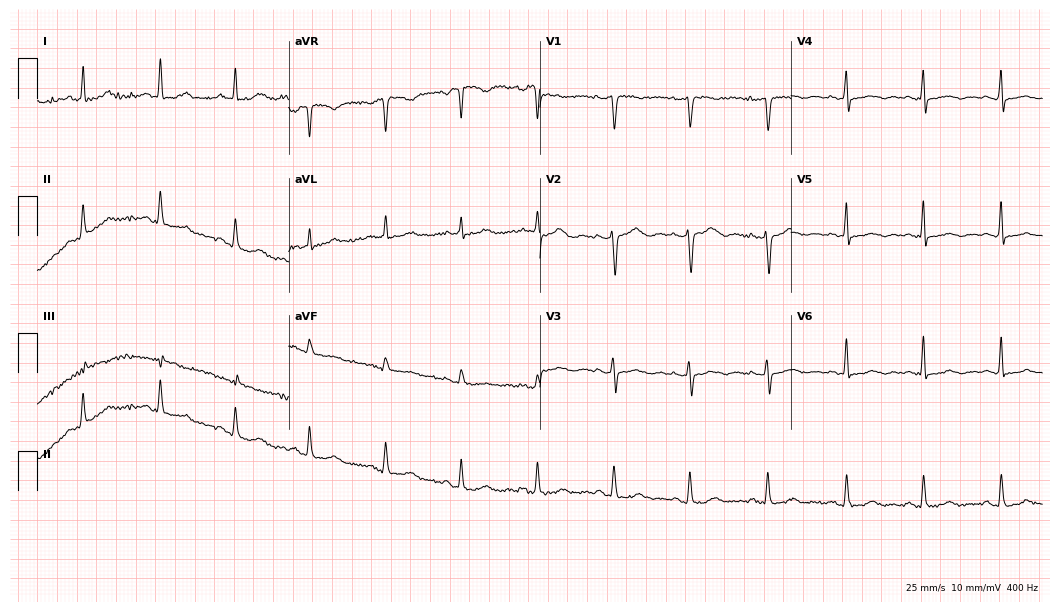
12-lead ECG (10.2-second recording at 400 Hz) from a woman, 47 years old. Screened for six findings — first-degree AV block, right bundle branch block, left bundle branch block, sinus bradycardia, atrial fibrillation, sinus tachycardia — none is recorded.